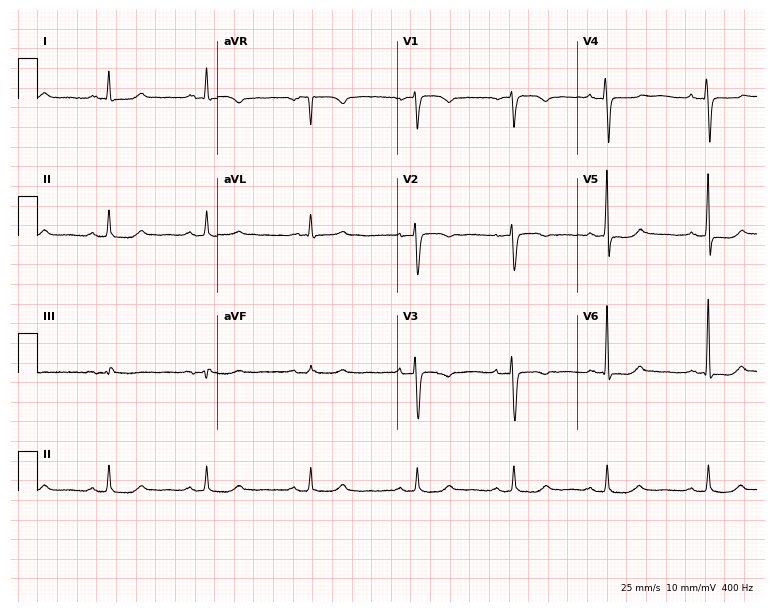
12-lead ECG from a 57-year-old woman. Screened for six findings — first-degree AV block, right bundle branch block, left bundle branch block, sinus bradycardia, atrial fibrillation, sinus tachycardia — none is recorded.